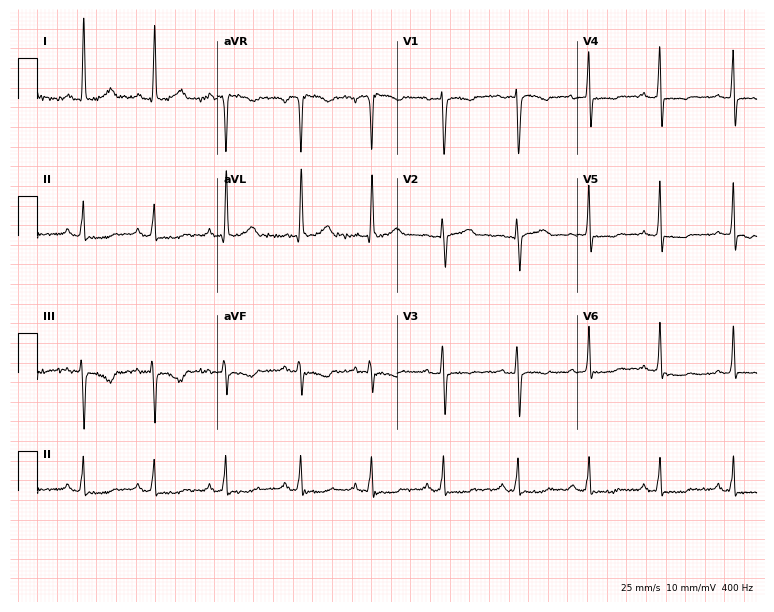
12-lead ECG from a female, 49 years old. No first-degree AV block, right bundle branch block (RBBB), left bundle branch block (LBBB), sinus bradycardia, atrial fibrillation (AF) or sinus tachycardia recorded for this tracing.